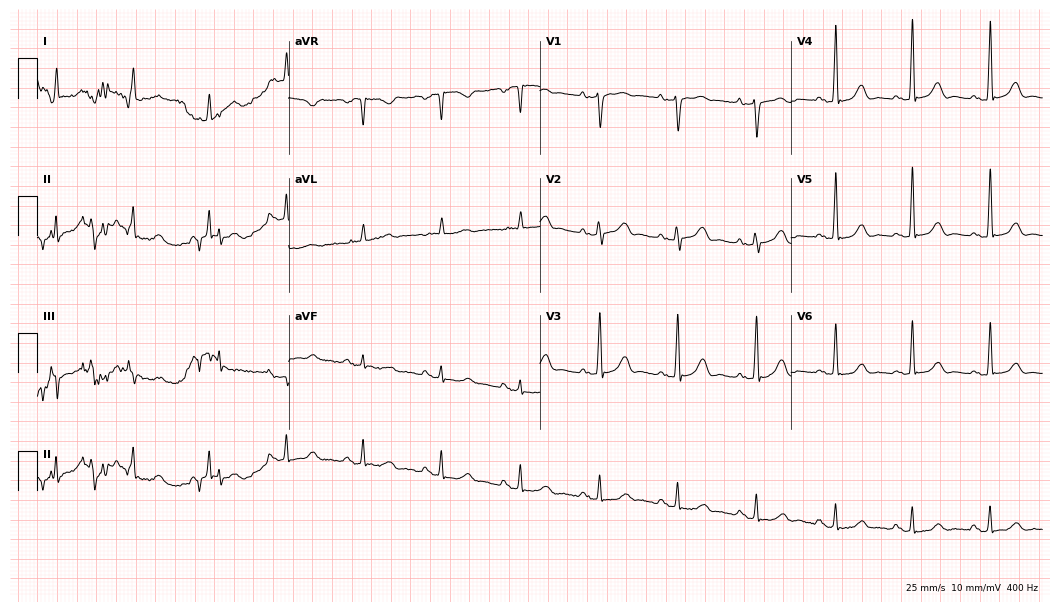
Standard 12-lead ECG recorded from a female patient, 76 years old (10.2-second recording at 400 Hz). Read as a normal ECG.